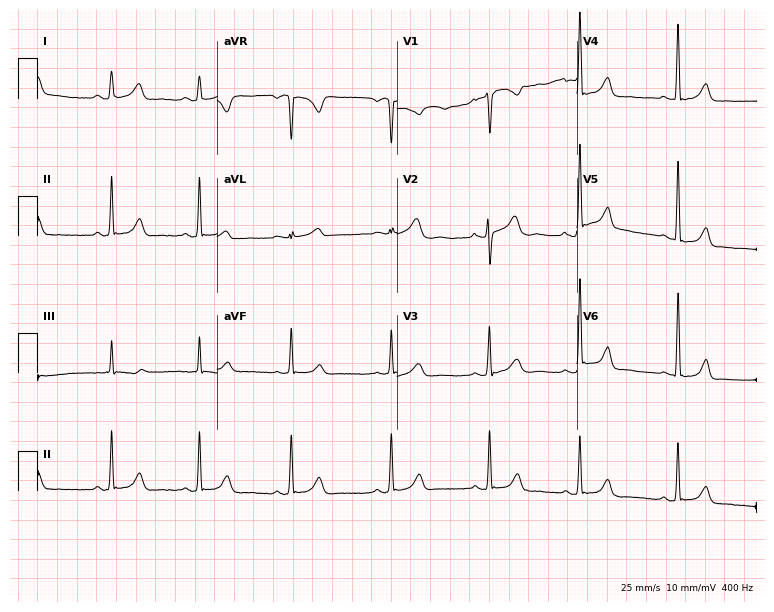
Standard 12-lead ECG recorded from a 30-year-old female (7.3-second recording at 400 Hz). None of these six findings is recorded: first-degree AV block, right bundle branch block (RBBB), left bundle branch block (LBBB), sinus bradycardia, atrial fibrillation (AF), sinus tachycardia. Only these six findings were labelled.